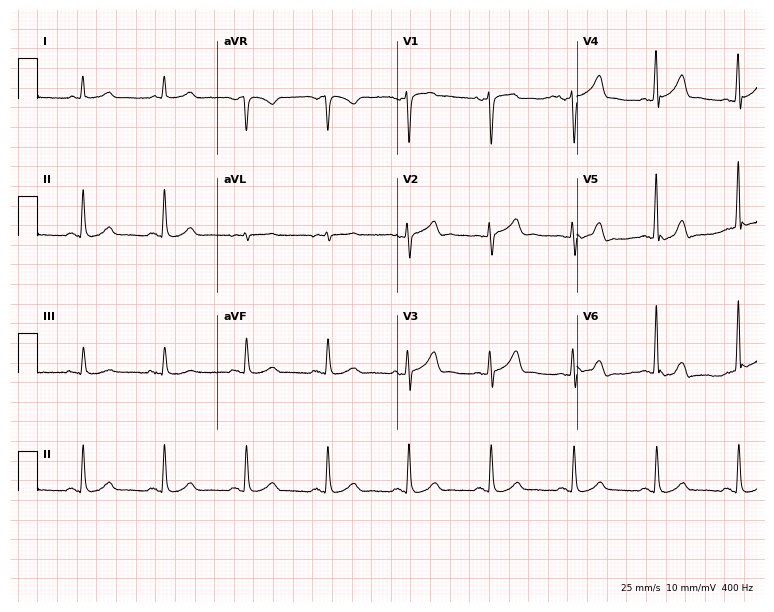
ECG (7.3-second recording at 400 Hz) — a man, 55 years old. Screened for six findings — first-degree AV block, right bundle branch block, left bundle branch block, sinus bradycardia, atrial fibrillation, sinus tachycardia — none is recorded. Only these six findings were labelled.